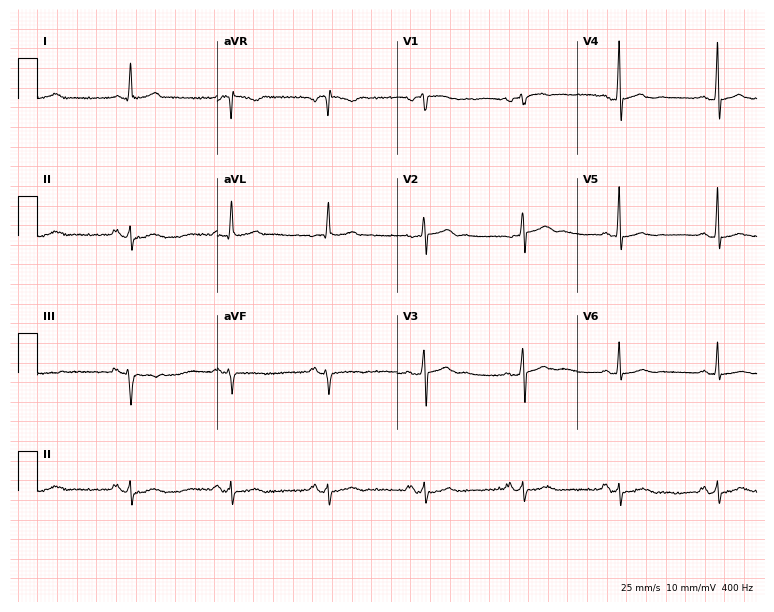
Resting 12-lead electrocardiogram (7.3-second recording at 400 Hz). Patient: a woman, 71 years old. None of these six findings is recorded: first-degree AV block, right bundle branch block, left bundle branch block, sinus bradycardia, atrial fibrillation, sinus tachycardia. Other findings, if any, are not listed.